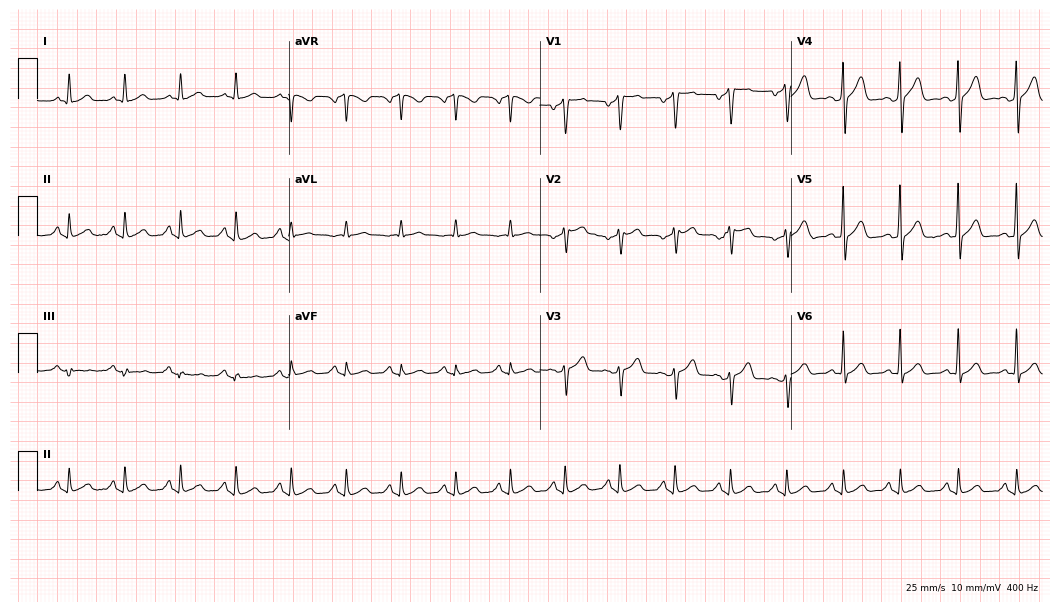
Resting 12-lead electrocardiogram. Patient: a 49-year-old male. The tracing shows sinus tachycardia (a sinus rate of 100 beats per minute or more).